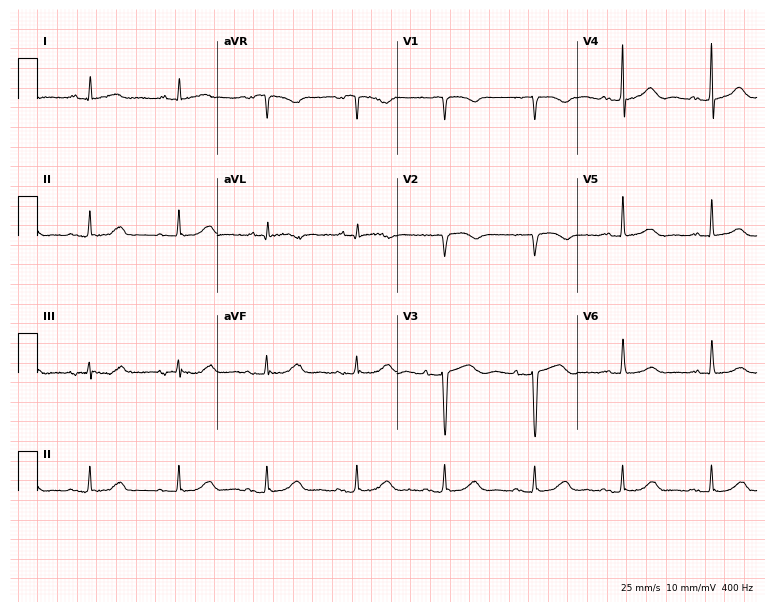
Standard 12-lead ECG recorded from a female patient, 73 years old. None of these six findings is recorded: first-degree AV block, right bundle branch block, left bundle branch block, sinus bradycardia, atrial fibrillation, sinus tachycardia.